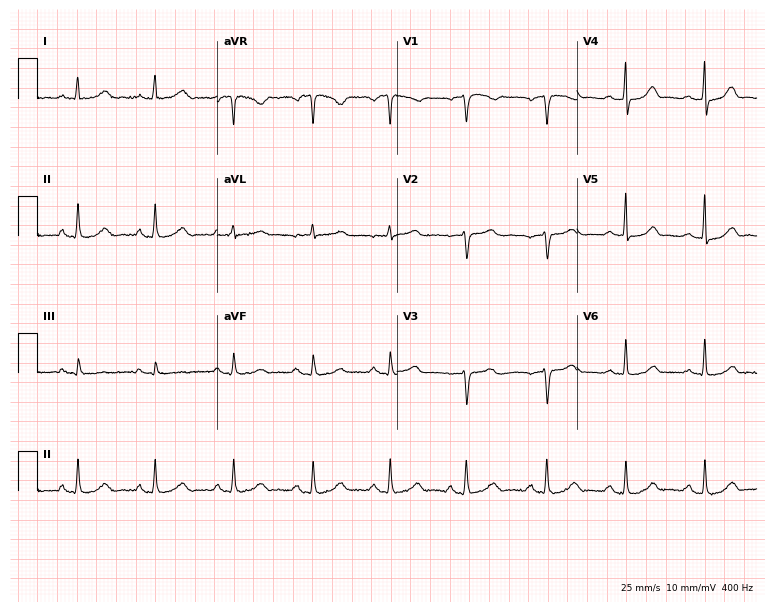
Resting 12-lead electrocardiogram (7.3-second recording at 400 Hz). Patient: a female, 50 years old. None of these six findings is recorded: first-degree AV block, right bundle branch block, left bundle branch block, sinus bradycardia, atrial fibrillation, sinus tachycardia. Other findings, if any, are not listed.